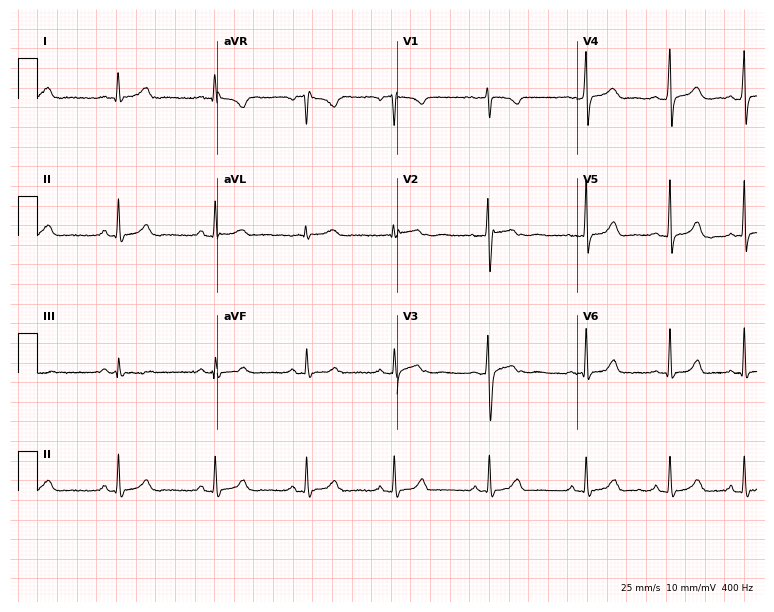
ECG — a 22-year-old female patient. Labelled as a normal ECG.